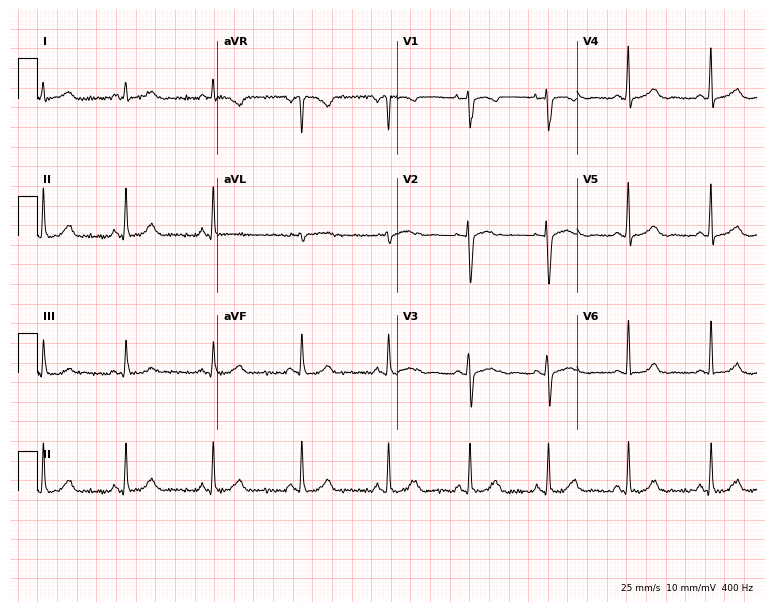
ECG (7.3-second recording at 400 Hz) — a 38-year-old female. Labelled as a normal ECG.